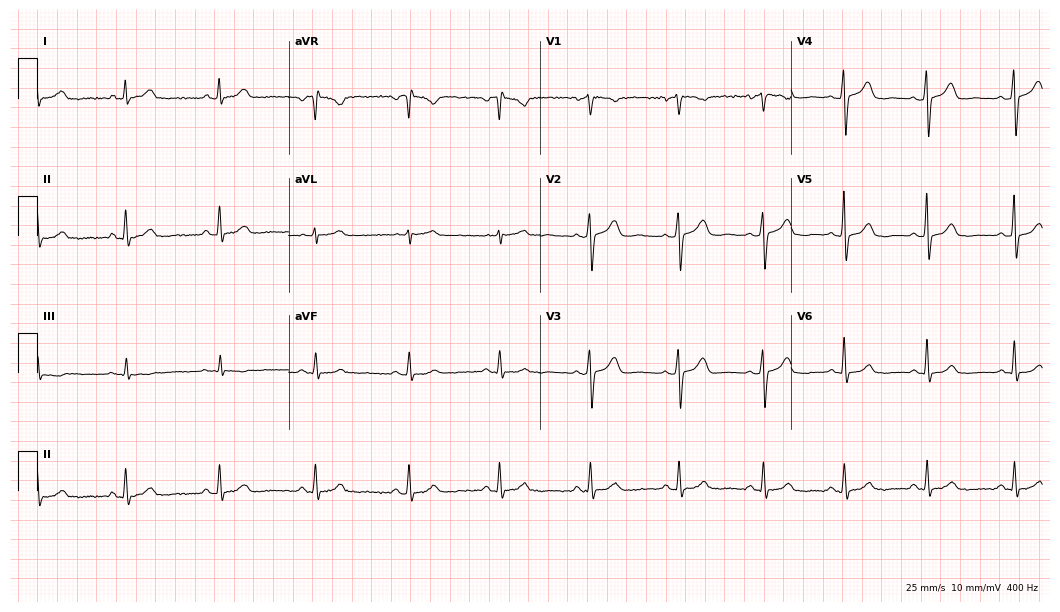
Electrocardiogram (10.2-second recording at 400 Hz), a 45-year-old female patient. Overall reading on record: normal ECG.